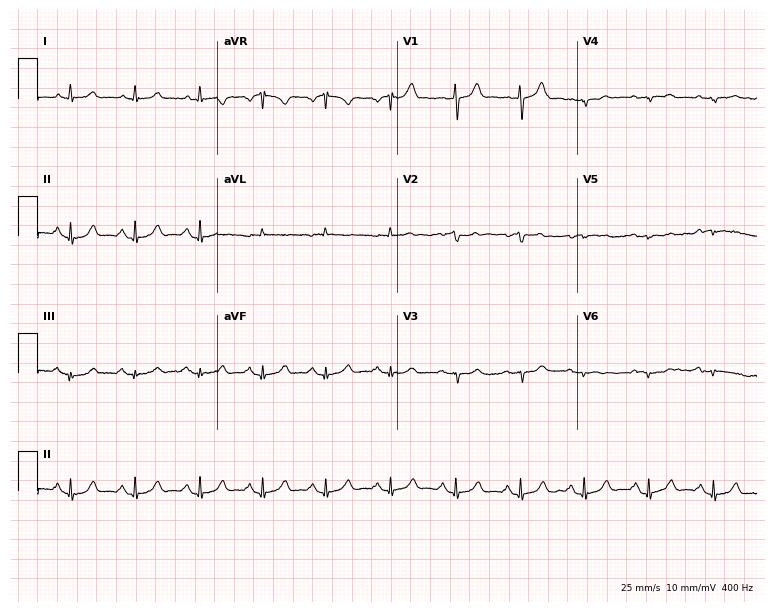
12-lead ECG from a man, 68 years old (7.3-second recording at 400 Hz). No first-degree AV block, right bundle branch block, left bundle branch block, sinus bradycardia, atrial fibrillation or sinus tachycardia recorded for this tracing.